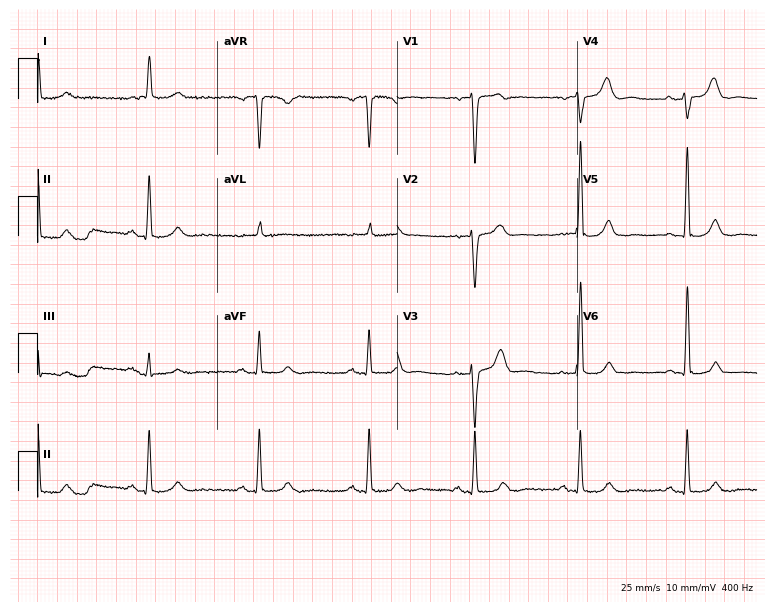
12-lead ECG from a female, 72 years old (7.3-second recording at 400 Hz). No first-degree AV block, right bundle branch block (RBBB), left bundle branch block (LBBB), sinus bradycardia, atrial fibrillation (AF) or sinus tachycardia recorded for this tracing.